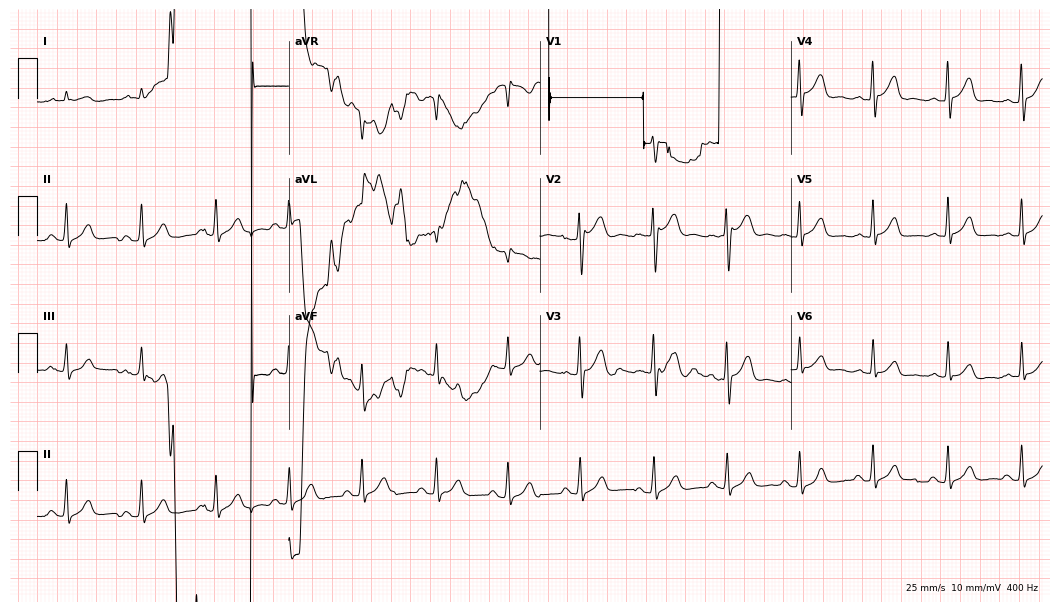
ECG (10.2-second recording at 400 Hz) — a male patient, 63 years old. Screened for six findings — first-degree AV block, right bundle branch block (RBBB), left bundle branch block (LBBB), sinus bradycardia, atrial fibrillation (AF), sinus tachycardia — none is recorded.